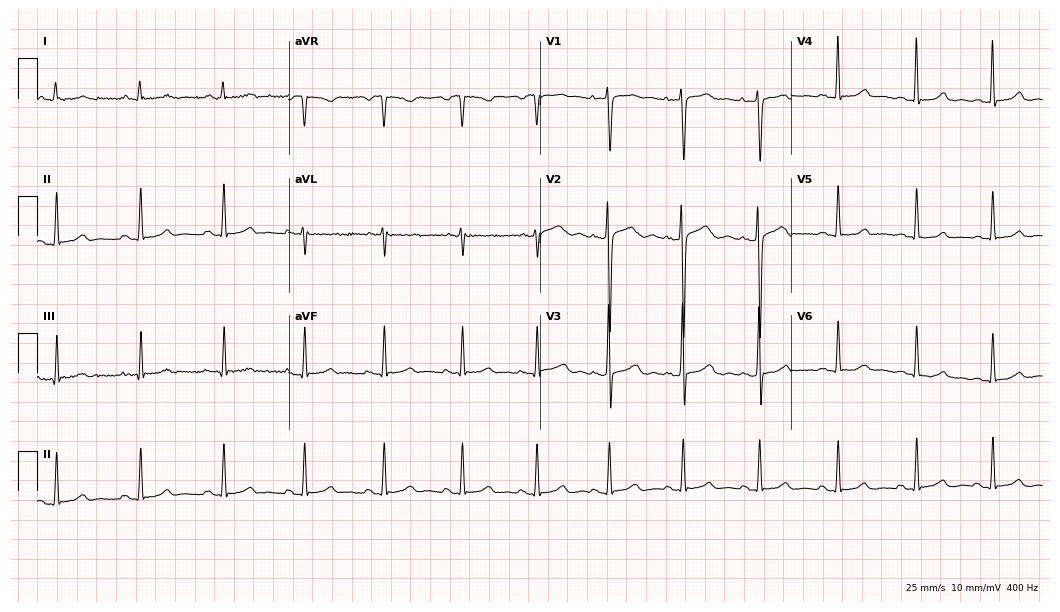
Electrocardiogram (10.2-second recording at 400 Hz), a female patient, 25 years old. Of the six screened findings (first-degree AV block, right bundle branch block (RBBB), left bundle branch block (LBBB), sinus bradycardia, atrial fibrillation (AF), sinus tachycardia), none is recorded.